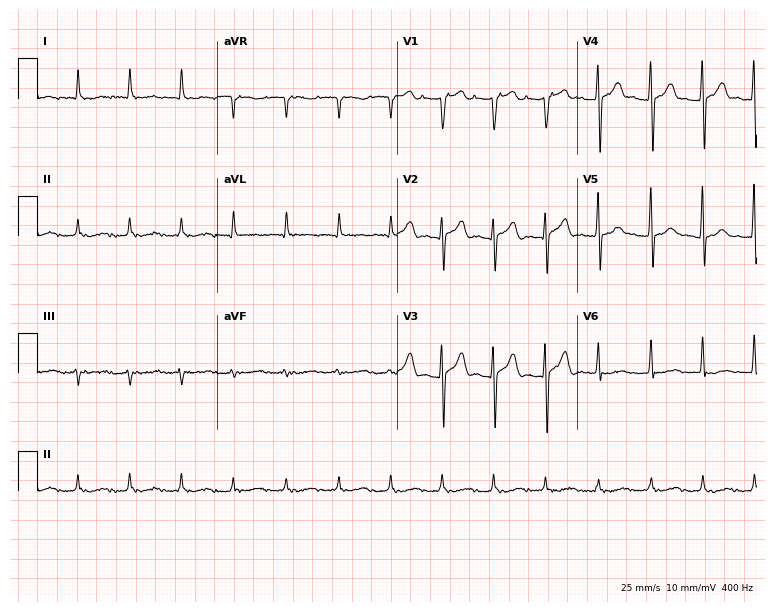
Electrocardiogram (7.3-second recording at 400 Hz), an 81-year-old man. Of the six screened findings (first-degree AV block, right bundle branch block, left bundle branch block, sinus bradycardia, atrial fibrillation, sinus tachycardia), none is recorded.